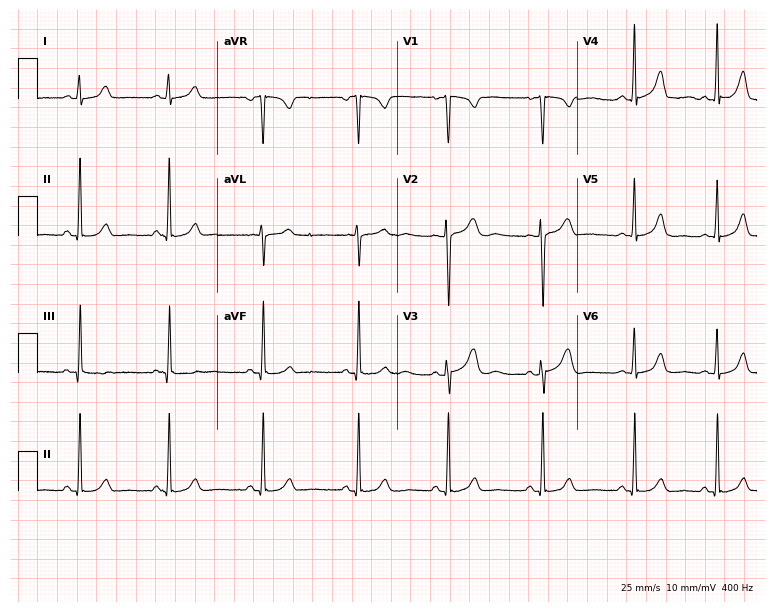
ECG (7.3-second recording at 400 Hz) — a female, 24 years old. Labelled as a normal ECG.